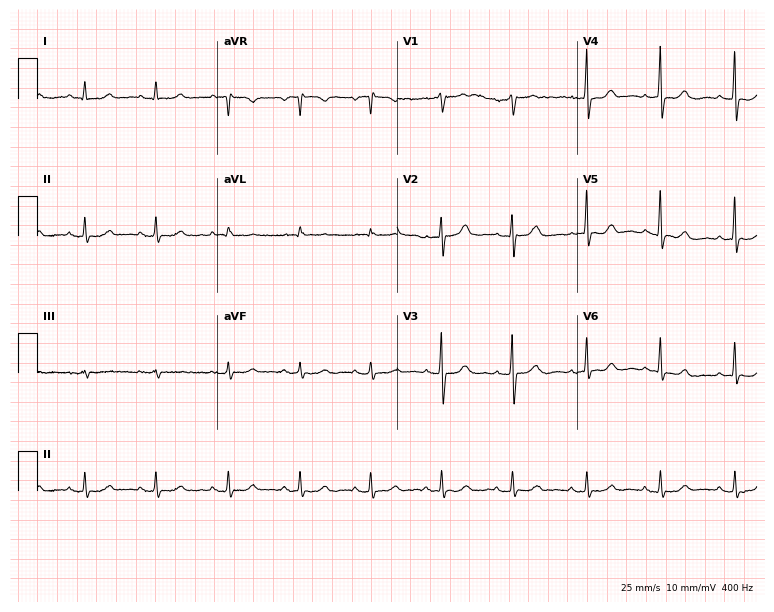
Electrocardiogram (7.3-second recording at 400 Hz), a 75-year-old woman. Overall reading on record: normal ECG.